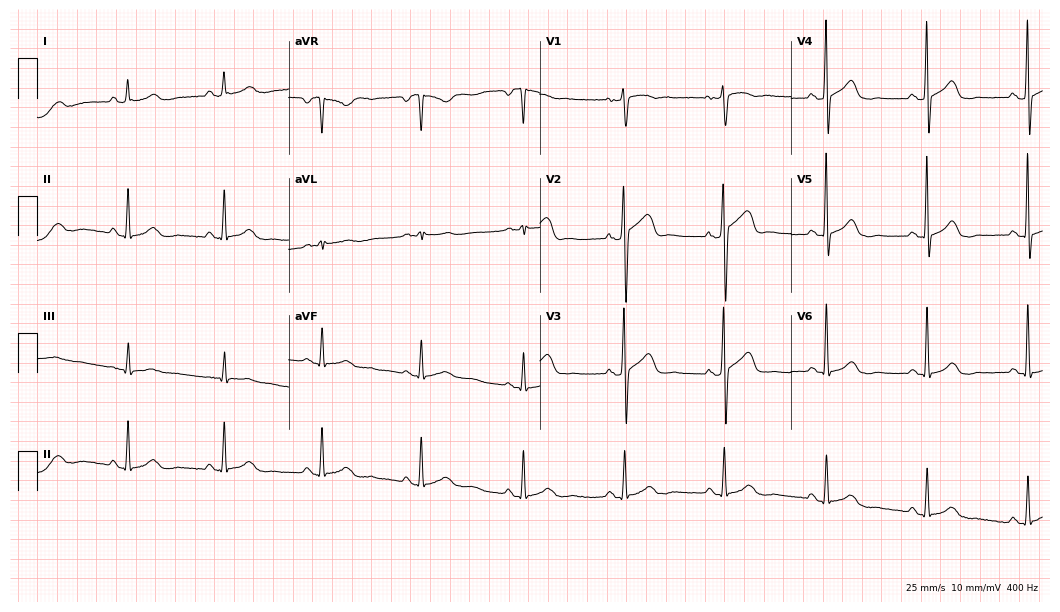
12-lead ECG from a woman, 63 years old. Recorded interpretation: within normal limits.